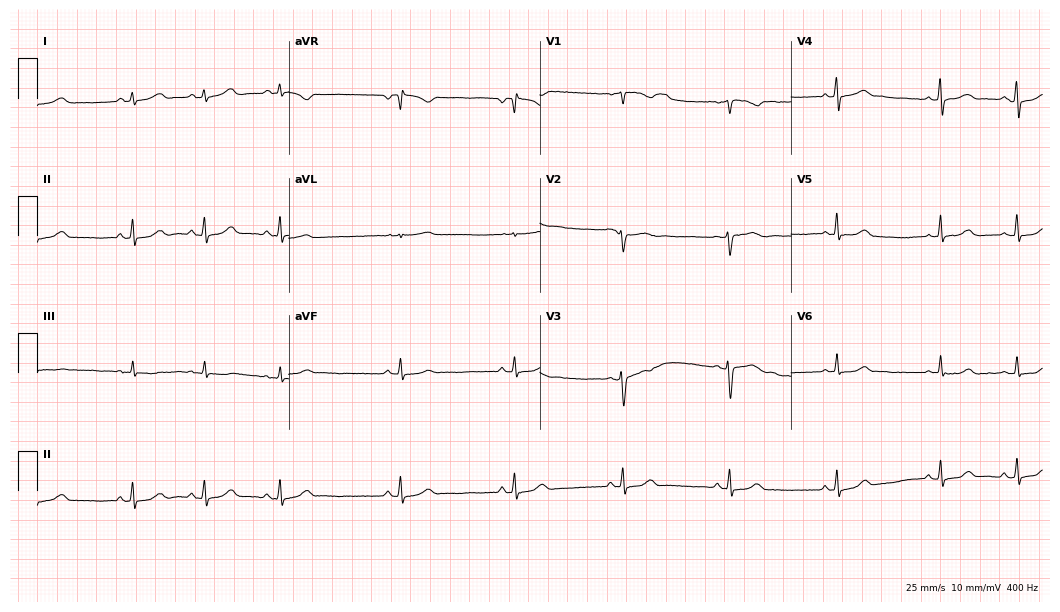
Electrocardiogram, a 29-year-old female. Overall reading on record: normal ECG.